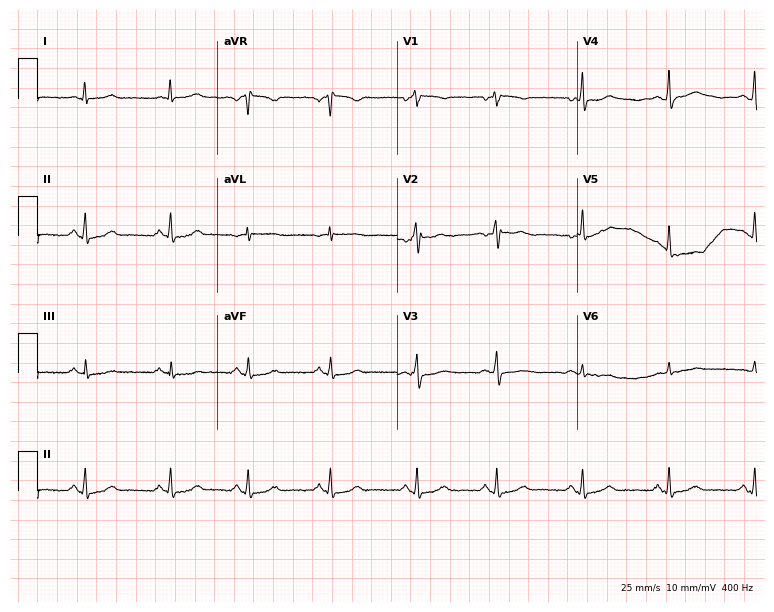
Resting 12-lead electrocardiogram (7.3-second recording at 400 Hz). Patient: a woman, 32 years old. None of these six findings is recorded: first-degree AV block, right bundle branch block, left bundle branch block, sinus bradycardia, atrial fibrillation, sinus tachycardia. Only these six findings were labelled.